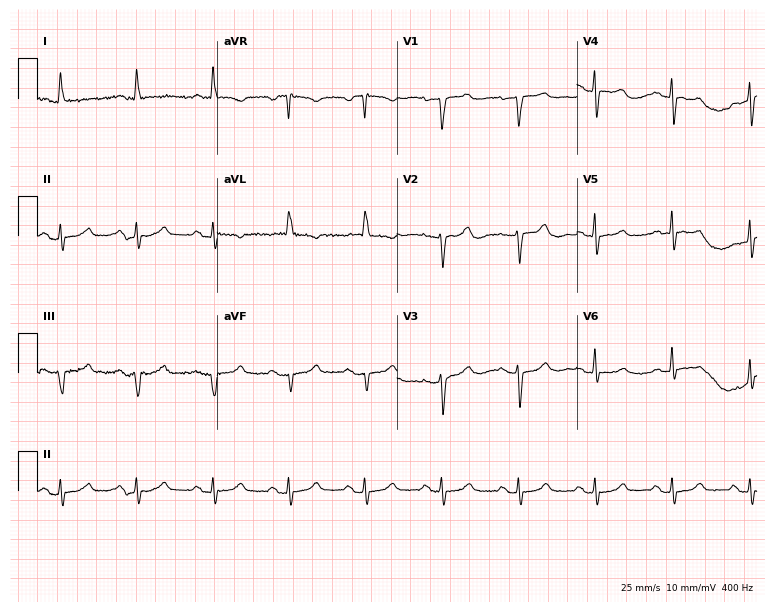
12-lead ECG (7.3-second recording at 400 Hz) from a 60-year-old female patient. Labelled as a normal ECG.